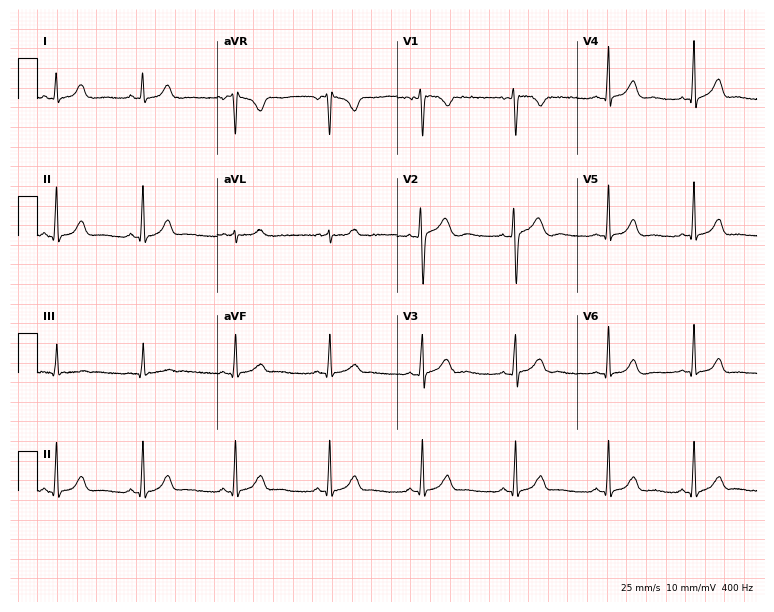
12-lead ECG from a 33-year-old female (7.3-second recording at 400 Hz). Recorded interpretation: within normal limits.